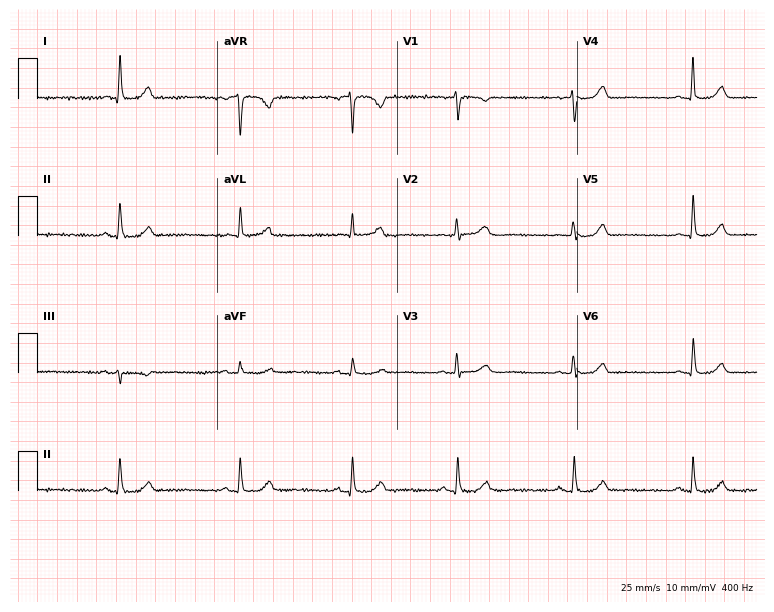
12-lead ECG from a female, 73 years old (7.3-second recording at 400 Hz). Recorded interpretation: within normal limits.